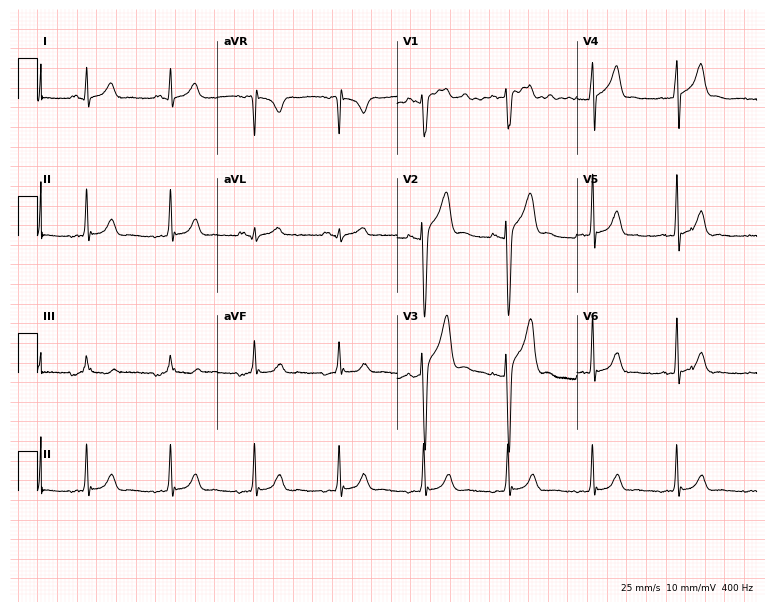
Standard 12-lead ECG recorded from a 26-year-old man (7.3-second recording at 400 Hz). None of these six findings is recorded: first-degree AV block, right bundle branch block, left bundle branch block, sinus bradycardia, atrial fibrillation, sinus tachycardia.